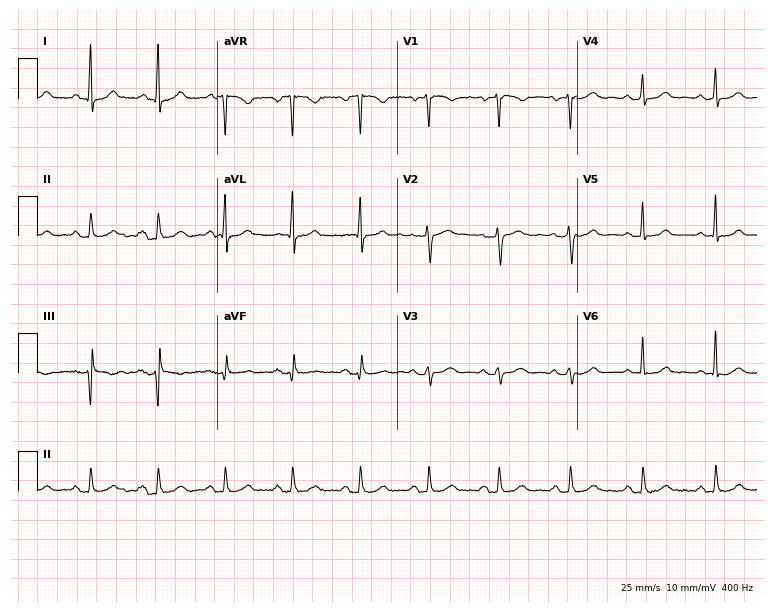
12-lead ECG from a female, 67 years old. Screened for six findings — first-degree AV block, right bundle branch block, left bundle branch block, sinus bradycardia, atrial fibrillation, sinus tachycardia — none is recorded.